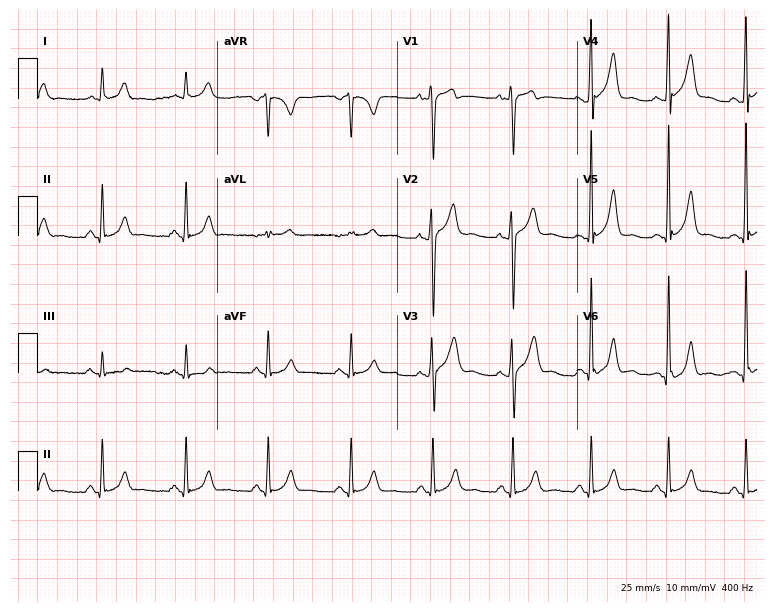
Resting 12-lead electrocardiogram (7.3-second recording at 400 Hz). Patient: a male, 41 years old. Read as a normal ECG.